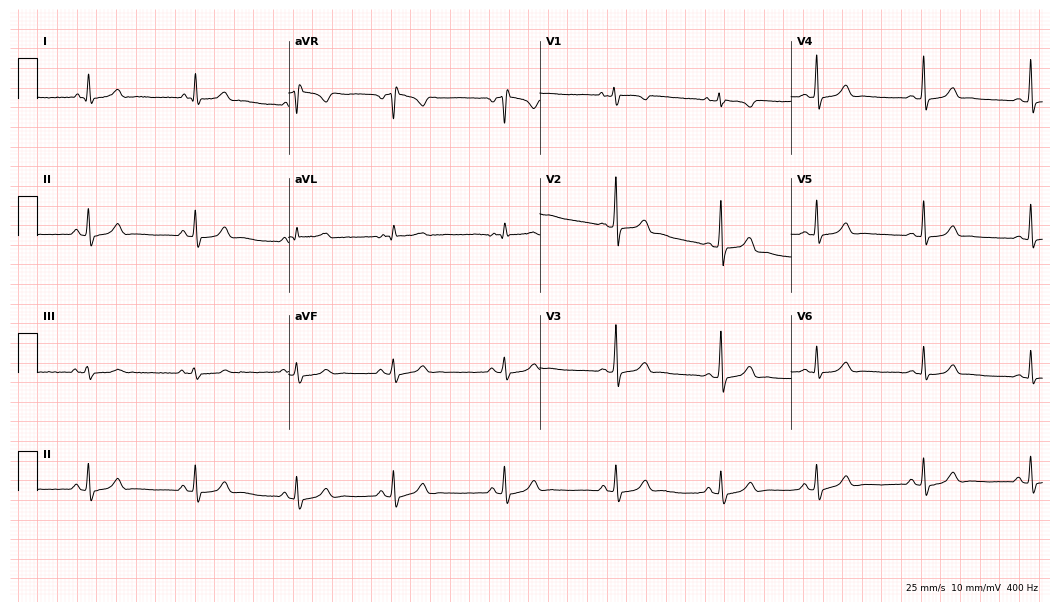
Electrocardiogram, a female, 21 years old. Of the six screened findings (first-degree AV block, right bundle branch block (RBBB), left bundle branch block (LBBB), sinus bradycardia, atrial fibrillation (AF), sinus tachycardia), none is recorded. Findings outside these six are not listed.